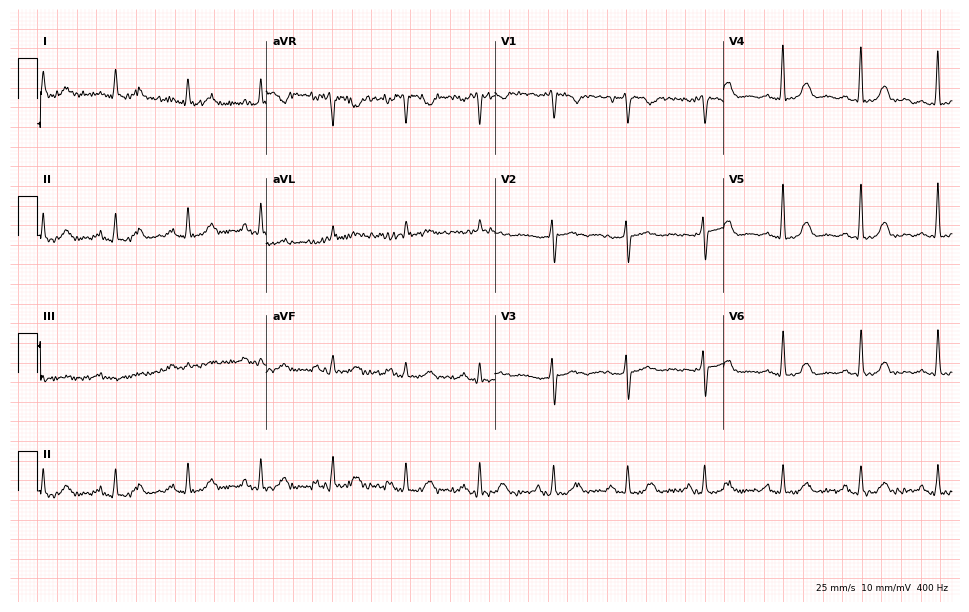
Resting 12-lead electrocardiogram (9.3-second recording at 400 Hz). Patient: a 62-year-old male. None of these six findings is recorded: first-degree AV block, right bundle branch block, left bundle branch block, sinus bradycardia, atrial fibrillation, sinus tachycardia. Findings outside these six are not listed.